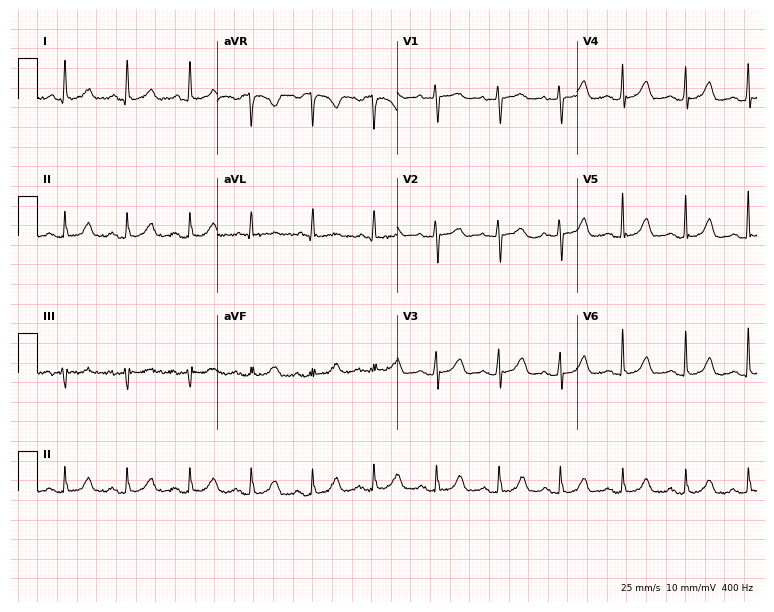
Resting 12-lead electrocardiogram. Patient: a female, 52 years old. None of these six findings is recorded: first-degree AV block, right bundle branch block (RBBB), left bundle branch block (LBBB), sinus bradycardia, atrial fibrillation (AF), sinus tachycardia.